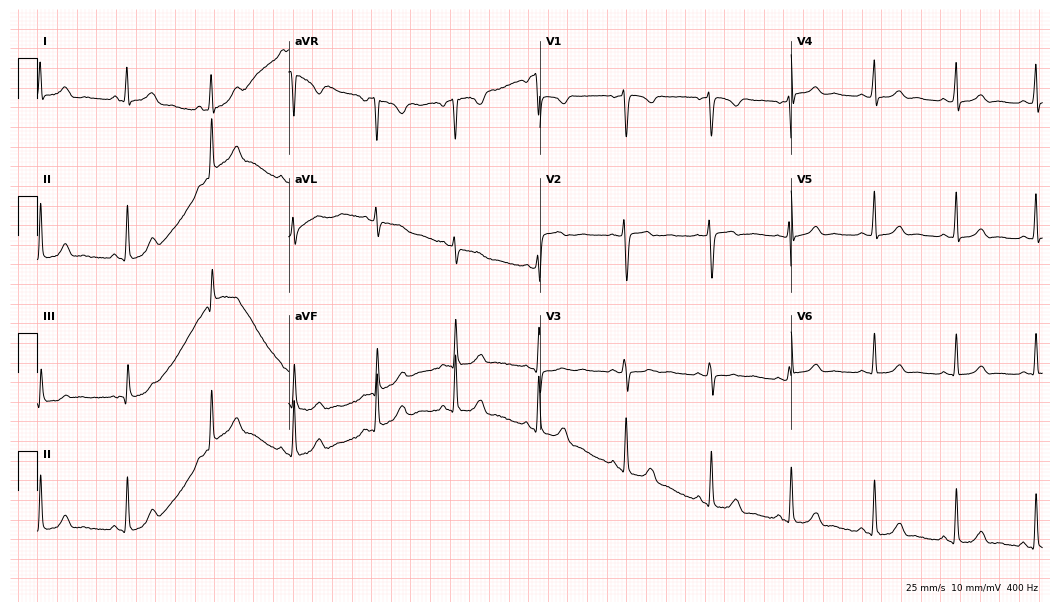
Standard 12-lead ECG recorded from a woman, 36 years old (10.2-second recording at 400 Hz). Read as a normal ECG.